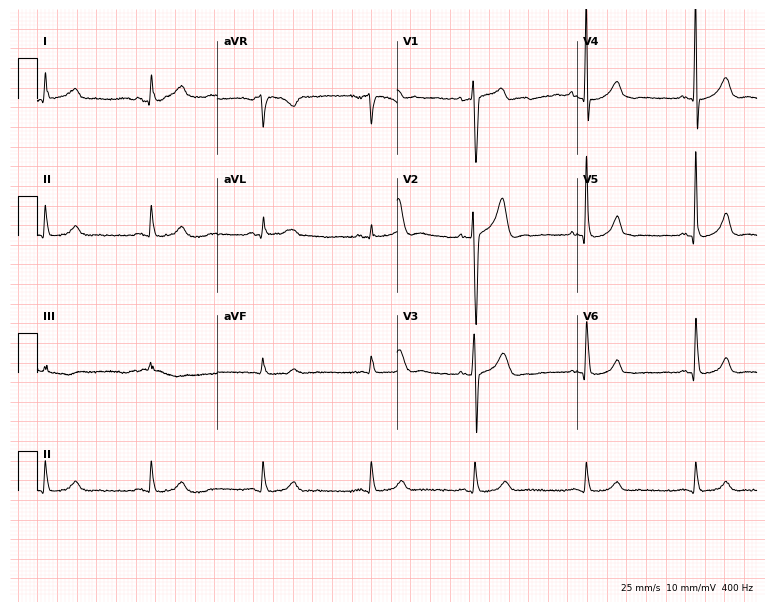
Electrocardiogram (7.3-second recording at 400 Hz), a male, 34 years old. Overall reading on record: normal ECG.